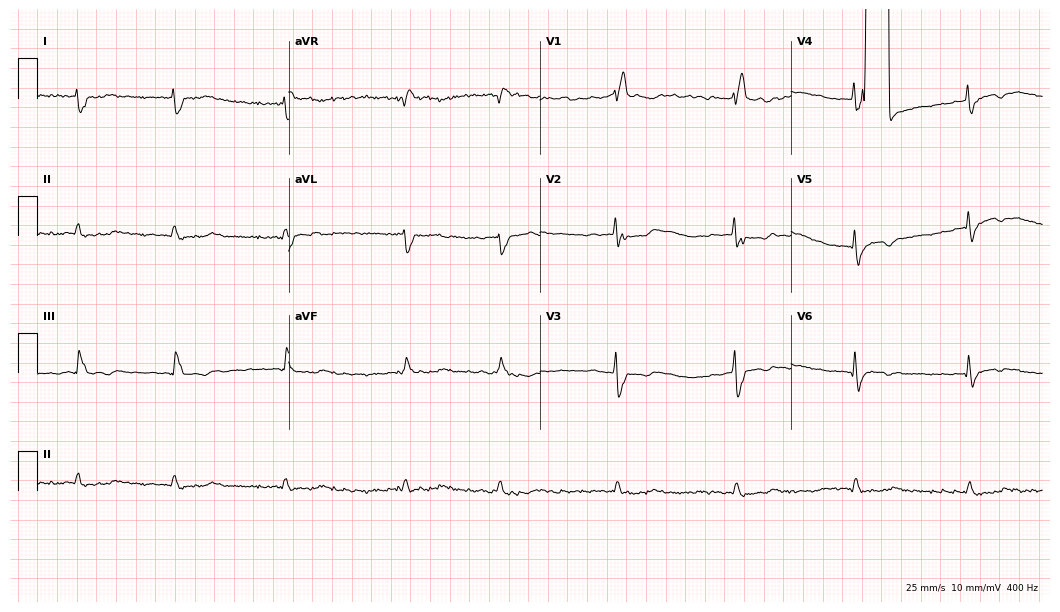
12-lead ECG from a 66-year-old female patient (10.2-second recording at 400 Hz). Shows atrial fibrillation (AF).